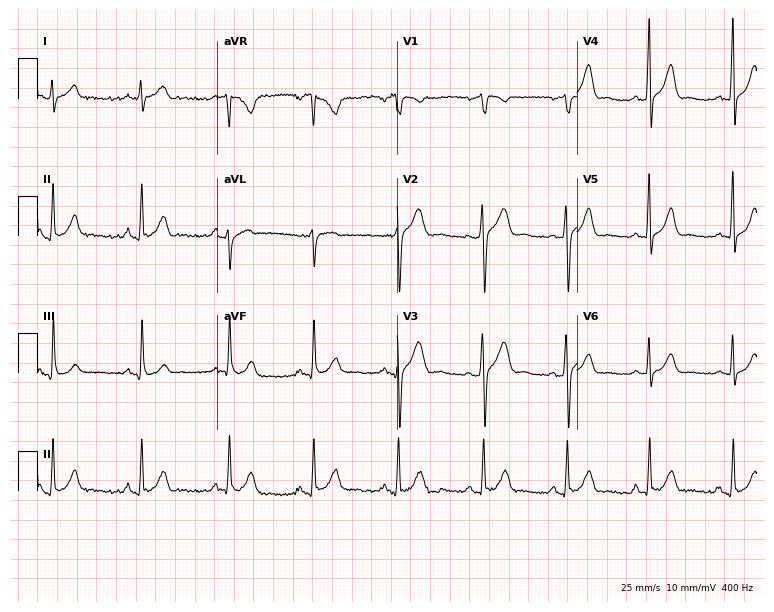
12-lead ECG from a 32-year-old man (7.3-second recording at 400 Hz). Recorded interpretation: within normal limits.